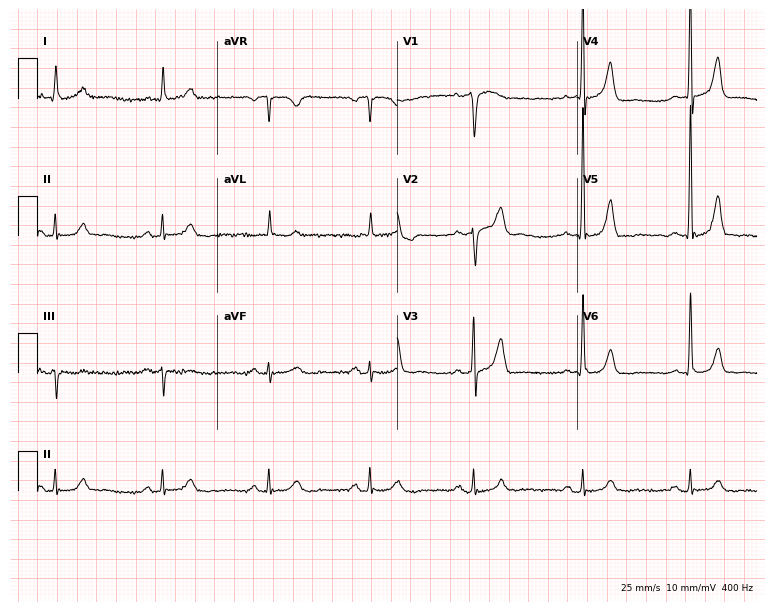
Resting 12-lead electrocardiogram. Patient: a 70-year-old male. Read as a normal ECG.